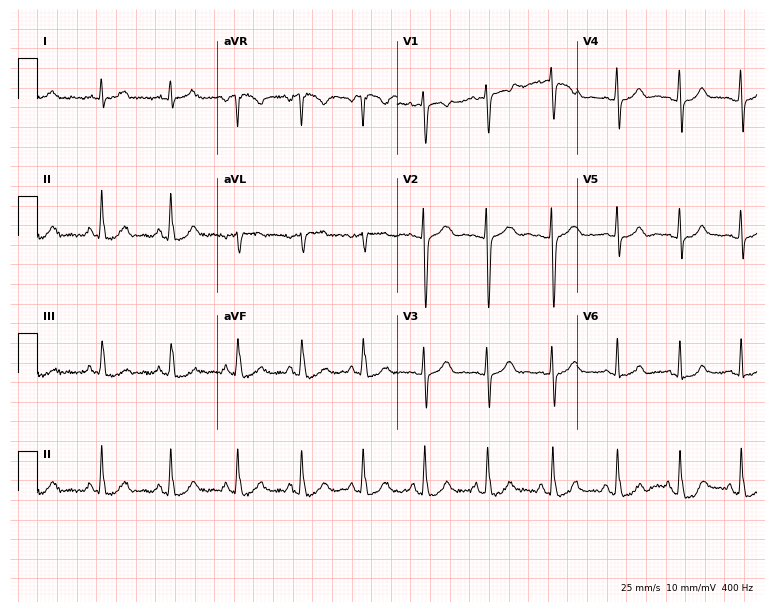
ECG (7.3-second recording at 400 Hz) — a female patient, 22 years old. Screened for six findings — first-degree AV block, right bundle branch block, left bundle branch block, sinus bradycardia, atrial fibrillation, sinus tachycardia — none is recorded. Findings outside these six are not listed.